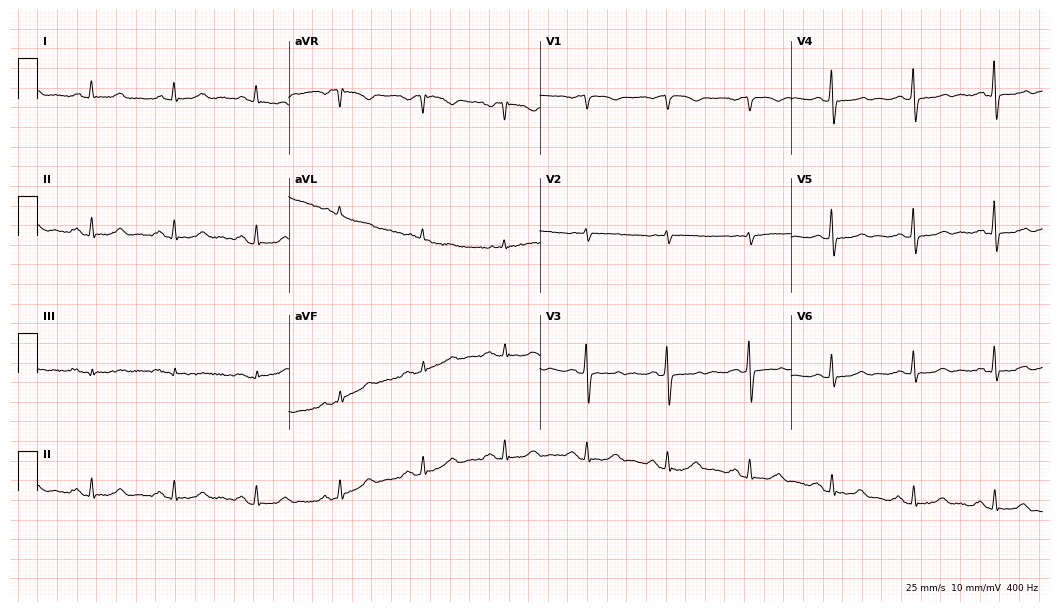
12-lead ECG from a female patient, 81 years old. No first-degree AV block, right bundle branch block, left bundle branch block, sinus bradycardia, atrial fibrillation or sinus tachycardia recorded for this tracing. Only these six findings were labelled.